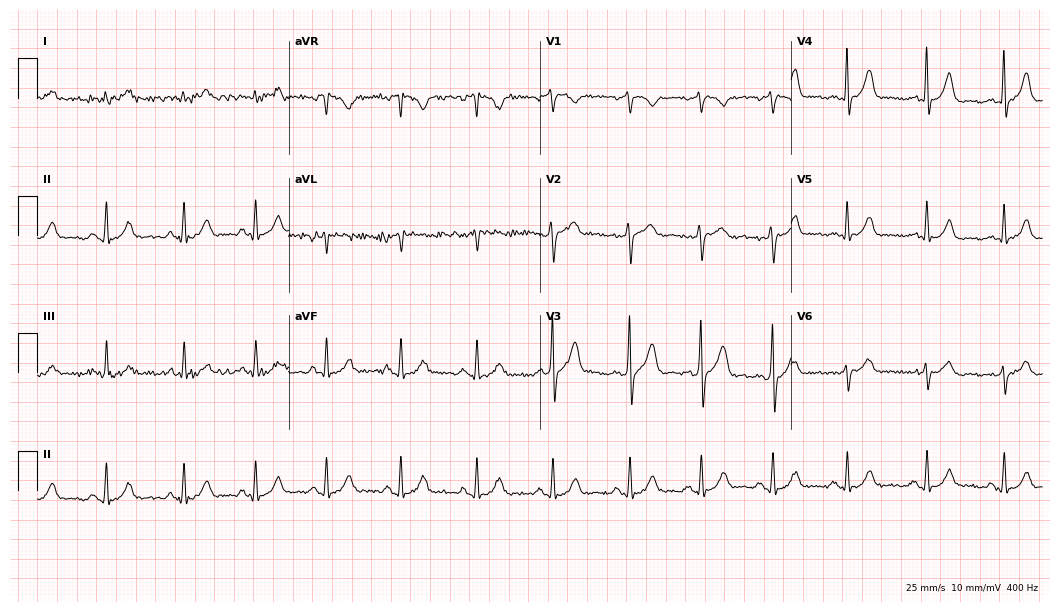
Resting 12-lead electrocardiogram. Patient: a male, 32 years old. Read as a normal ECG.